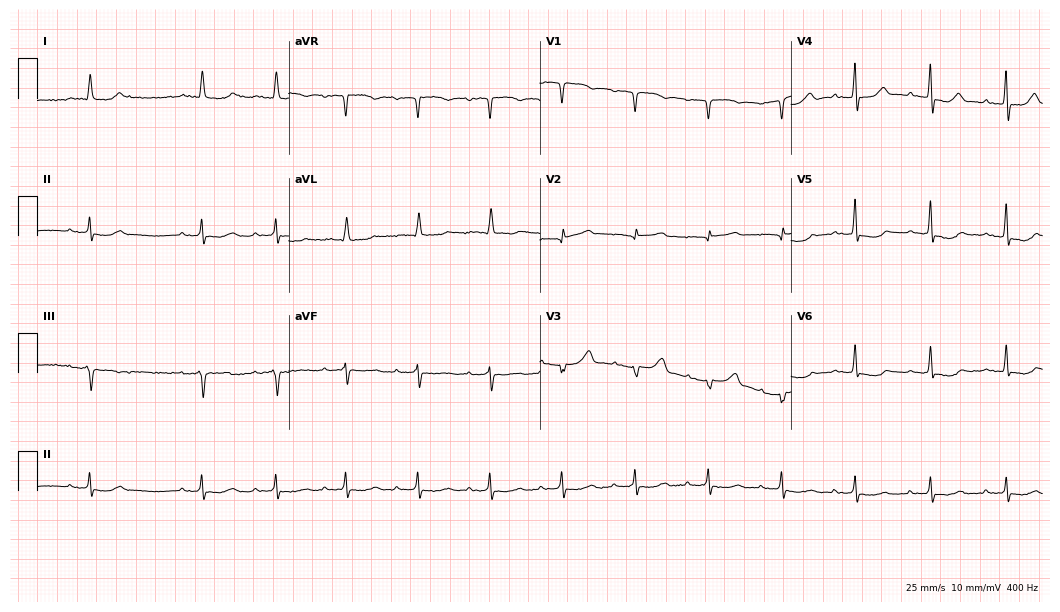
12-lead ECG from a male patient, 70 years old (10.2-second recording at 400 Hz). No first-degree AV block, right bundle branch block (RBBB), left bundle branch block (LBBB), sinus bradycardia, atrial fibrillation (AF) or sinus tachycardia recorded for this tracing.